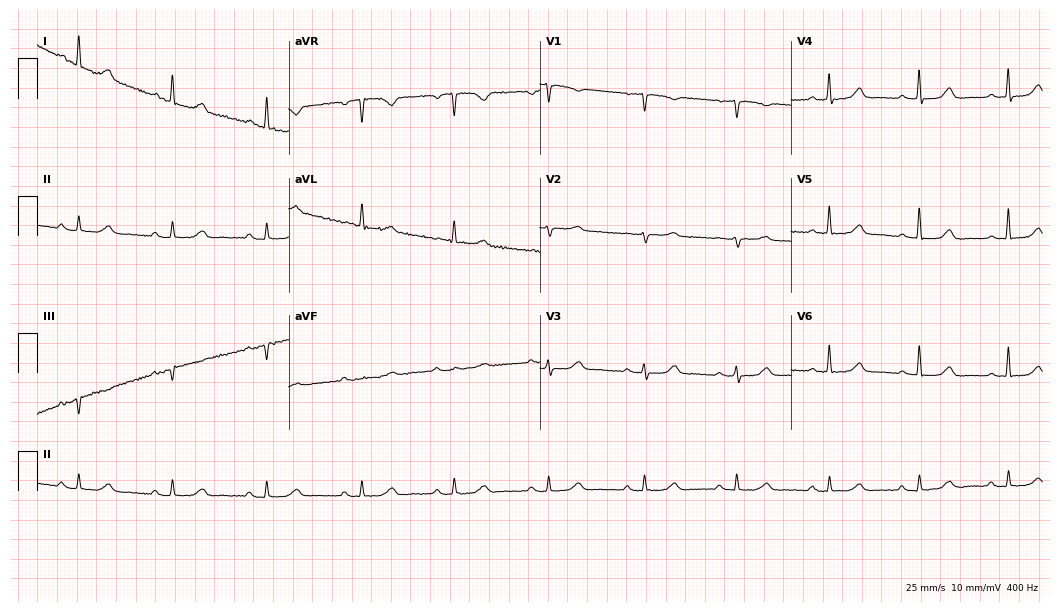
12-lead ECG from a woman, 70 years old (10.2-second recording at 400 Hz). No first-degree AV block, right bundle branch block, left bundle branch block, sinus bradycardia, atrial fibrillation or sinus tachycardia recorded for this tracing.